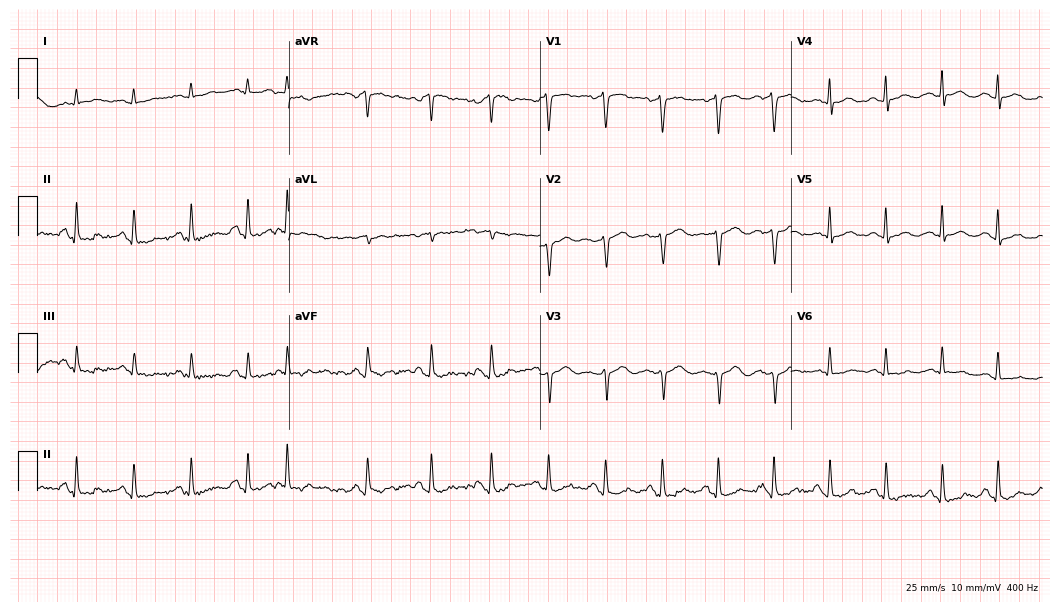
12-lead ECG from a female patient, 74 years old. No first-degree AV block, right bundle branch block (RBBB), left bundle branch block (LBBB), sinus bradycardia, atrial fibrillation (AF) or sinus tachycardia recorded for this tracing. Only these six findings were labelled.